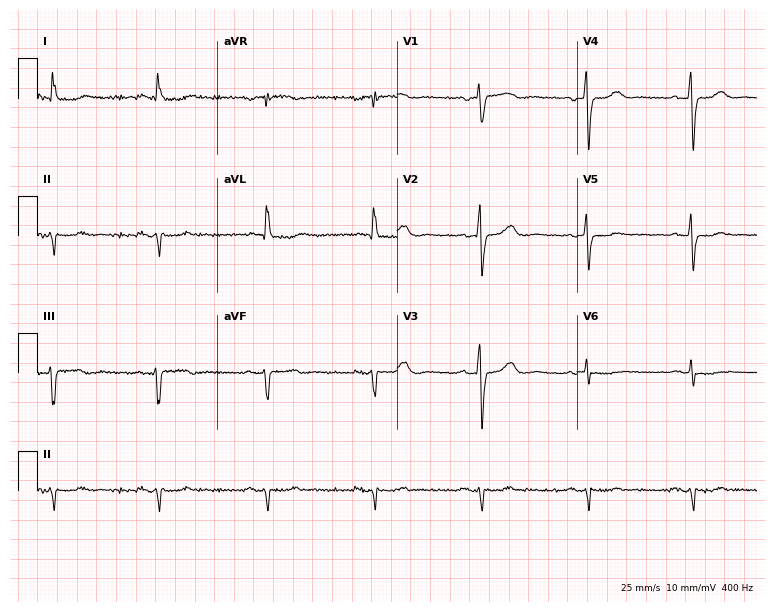
12-lead ECG (7.3-second recording at 400 Hz) from a 78-year-old female. Screened for six findings — first-degree AV block, right bundle branch block, left bundle branch block, sinus bradycardia, atrial fibrillation, sinus tachycardia — none is recorded. Findings outside these six are not listed.